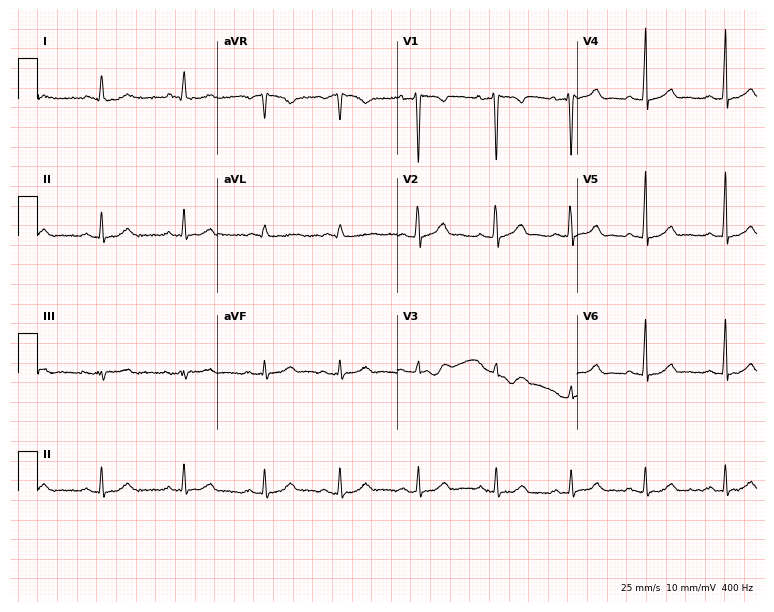
Electrocardiogram (7.3-second recording at 400 Hz), a 24-year-old female patient. Overall reading on record: normal ECG.